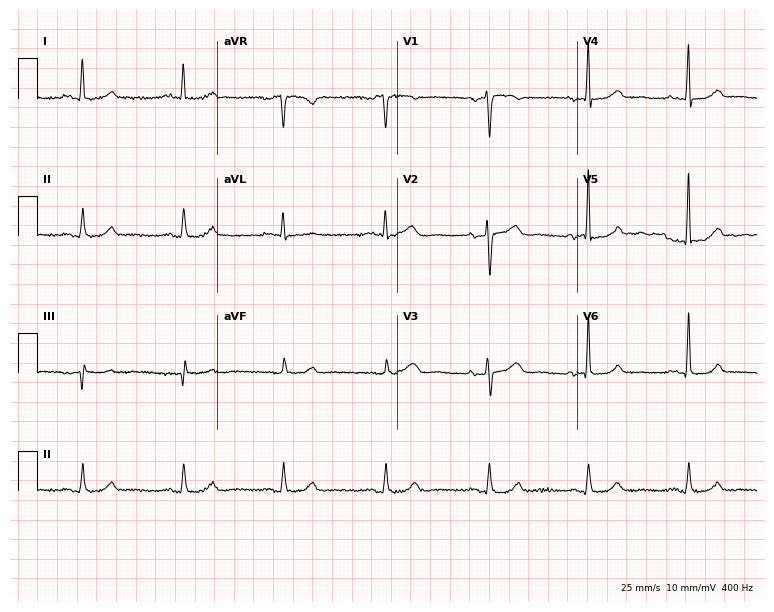
Electrocardiogram (7.3-second recording at 400 Hz), a 64-year-old female patient. Of the six screened findings (first-degree AV block, right bundle branch block, left bundle branch block, sinus bradycardia, atrial fibrillation, sinus tachycardia), none is recorded. Other findings, if any, are not listed.